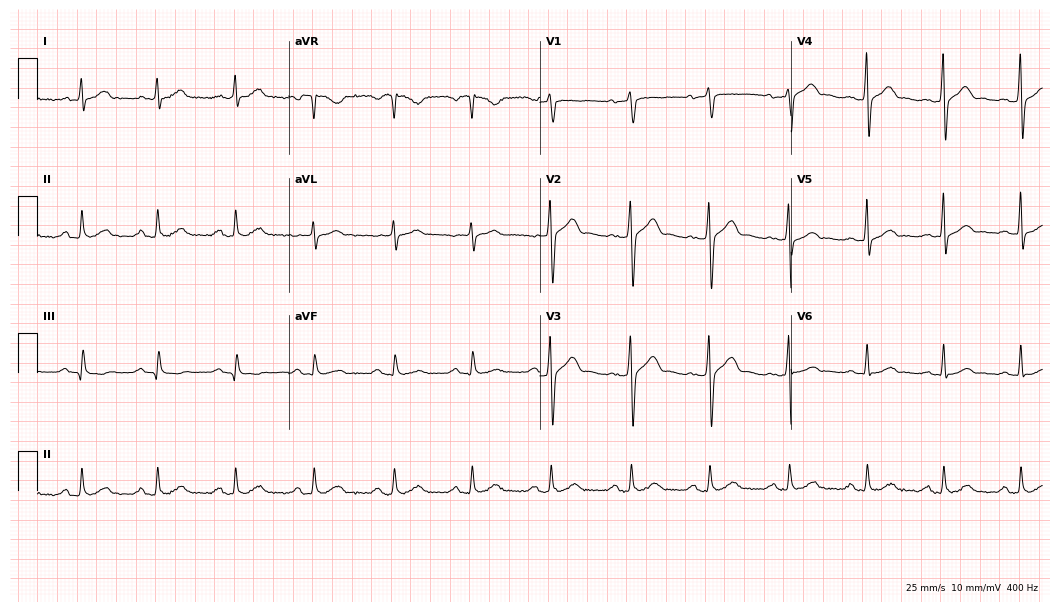
Standard 12-lead ECG recorded from a 51-year-old male patient (10.2-second recording at 400 Hz). Read as a normal ECG.